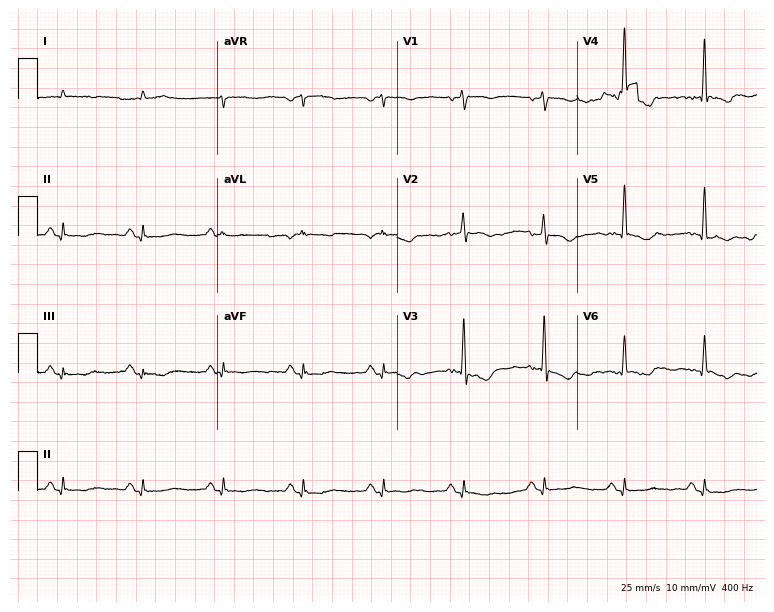
Resting 12-lead electrocardiogram. Patient: a male, 64 years old. None of these six findings is recorded: first-degree AV block, right bundle branch block (RBBB), left bundle branch block (LBBB), sinus bradycardia, atrial fibrillation (AF), sinus tachycardia. Only these six findings were labelled.